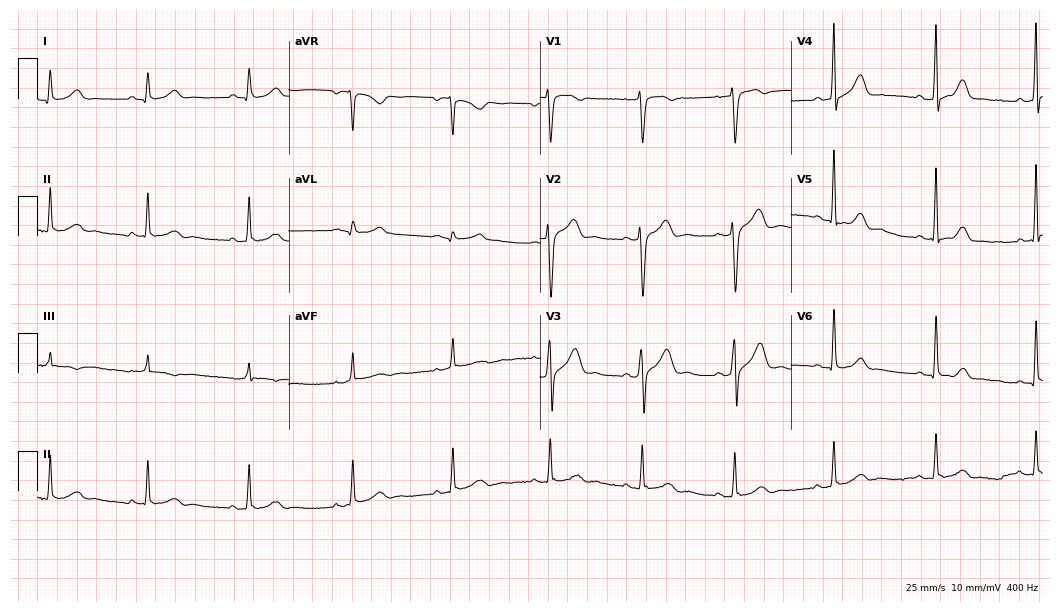
ECG — a male patient, 32 years old. Labelled as a normal ECG.